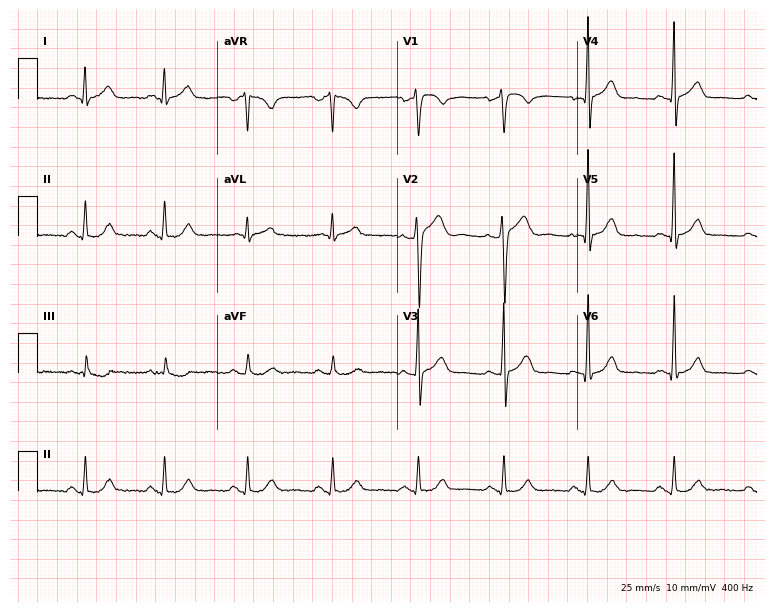
Electrocardiogram (7.3-second recording at 400 Hz), a 49-year-old male patient. Of the six screened findings (first-degree AV block, right bundle branch block (RBBB), left bundle branch block (LBBB), sinus bradycardia, atrial fibrillation (AF), sinus tachycardia), none is recorded.